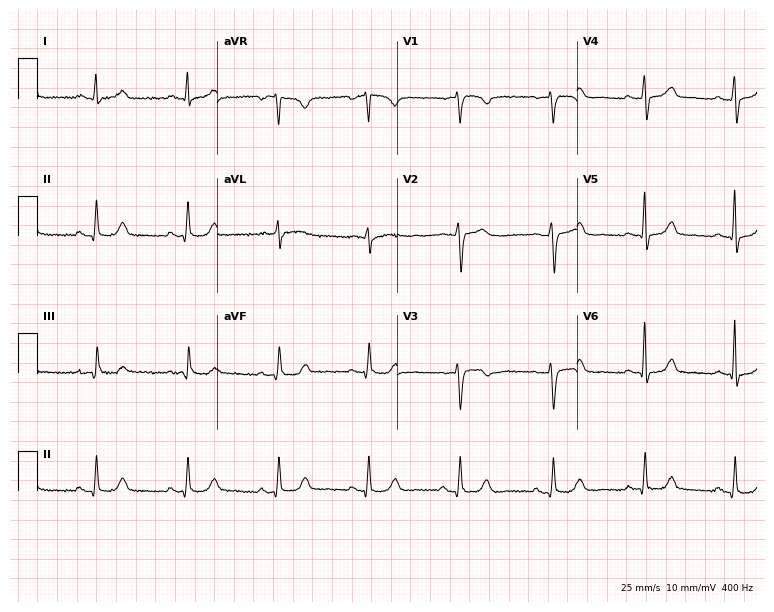
Electrocardiogram (7.3-second recording at 400 Hz), a 57-year-old female patient. Of the six screened findings (first-degree AV block, right bundle branch block (RBBB), left bundle branch block (LBBB), sinus bradycardia, atrial fibrillation (AF), sinus tachycardia), none is recorded. Other findings, if any, are not listed.